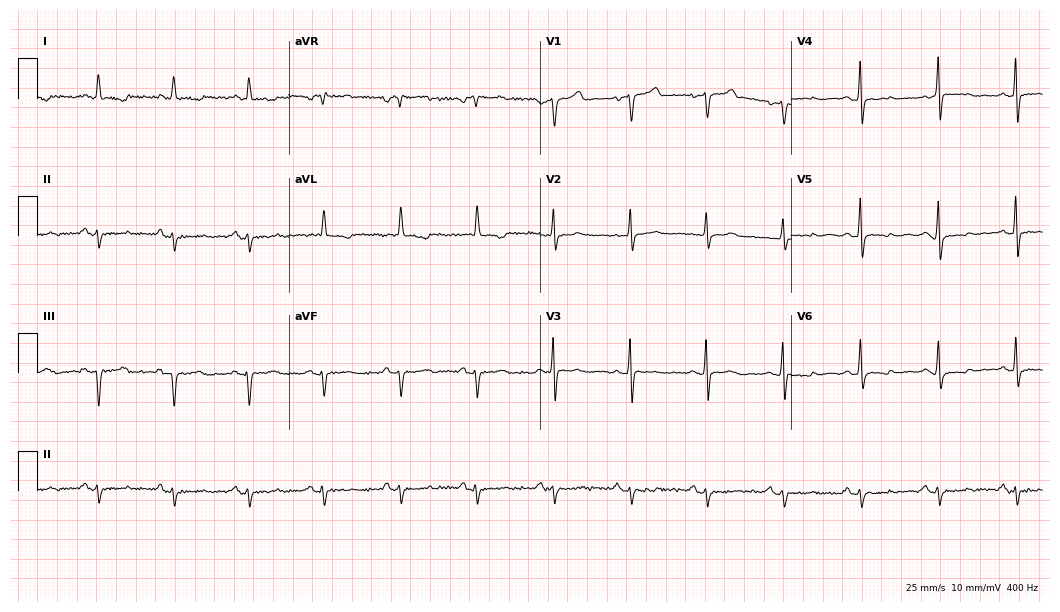
12-lead ECG from a 66-year-old woman (10.2-second recording at 400 Hz). No first-degree AV block, right bundle branch block, left bundle branch block, sinus bradycardia, atrial fibrillation or sinus tachycardia recorded for this tracing. Only these six findings were labelled.